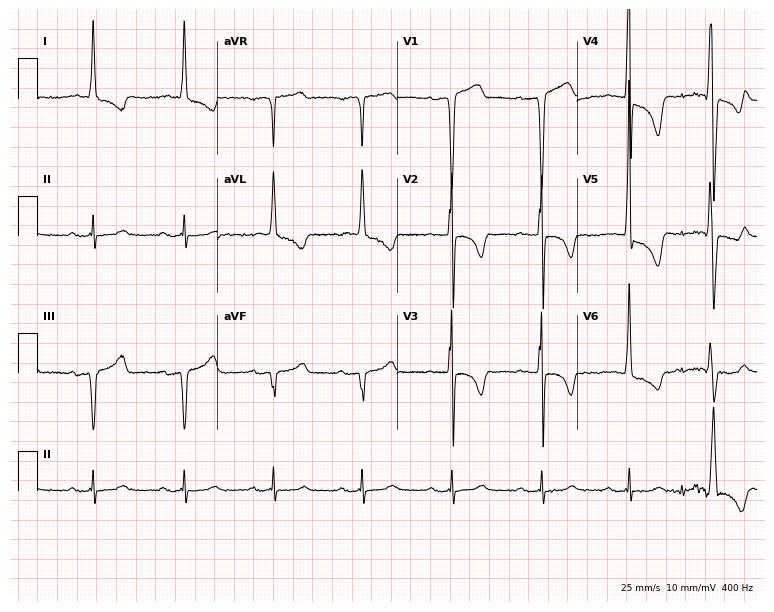
12-lead ECG from a 79-year-old woman. Screened for six findings — first-degree AV block, right bundle branch block, left bundle branch block, sinus bradycardia, atrial fibrillation, sinus tachycardia — none is recorded. Other findings, if any, are not listed.